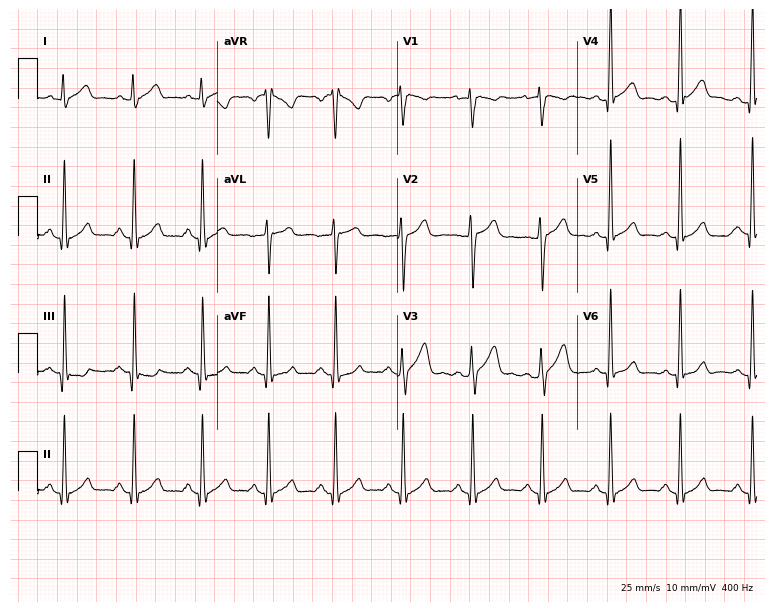
Resting 12-lead electrocardiogram (7.3-second recording at 400 Hz). Patient: a 28-year-old male. Read as a normal ECG.